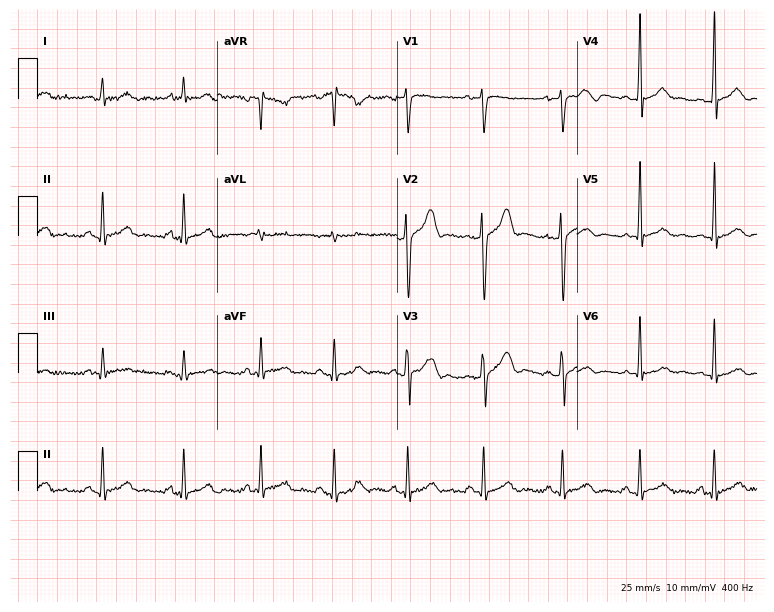
12-lead ECG from a male patient, 35 years old. Screened for six findings — first-degree AV block, right bundle branch block (RBBB), left bundle branch block (LBBB), sinus bradycardia, atrial fibrillation (AF), sinus tachycardia — none is recorded. Only these six findings were labelled.